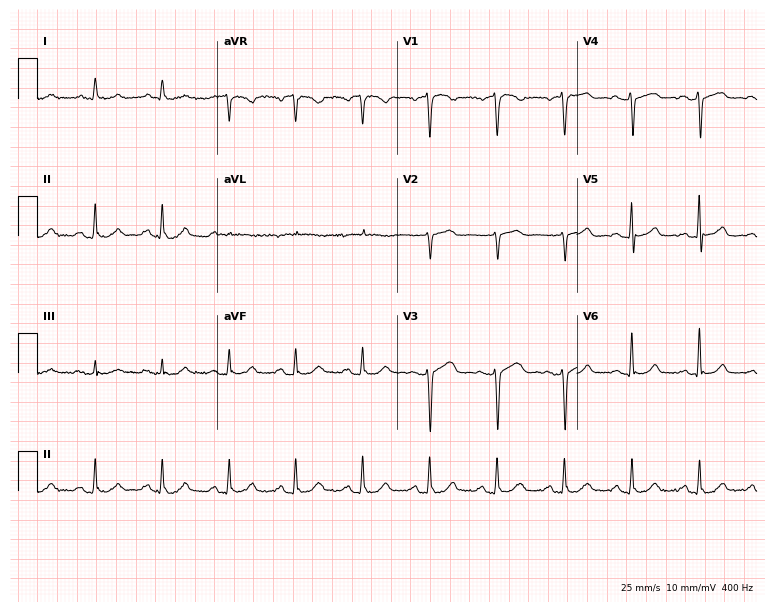
Standard 12-lead ECG recorded from a 65-year-old female patient (7.3-second recording at 400 Hz). Read as a normal ECG.